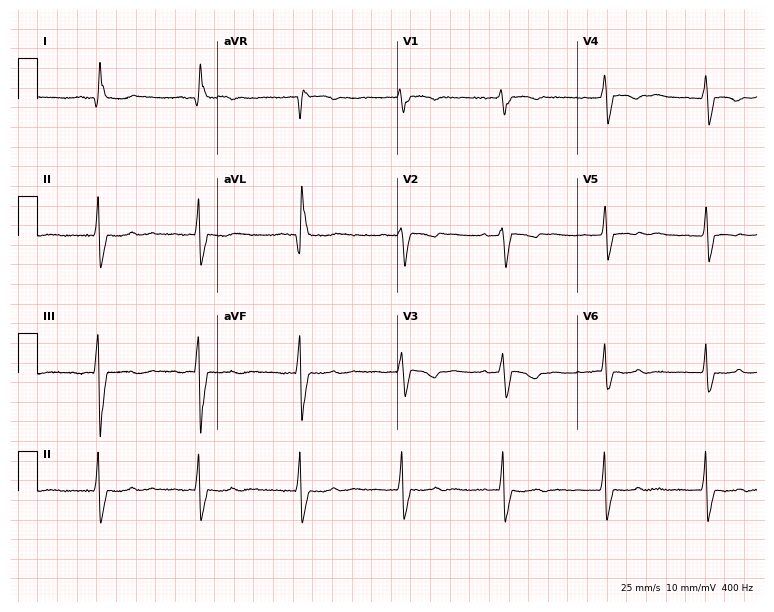
Standard 12-lead ECG recorded from a 35-year-old woman. None of these six findings is recorded: first-degree AV block, right bundle branch block (RBBB), left bundle branch block (LBBB), sinus bradycardia, atrial fibrillation (AF), sinus tachycardia.